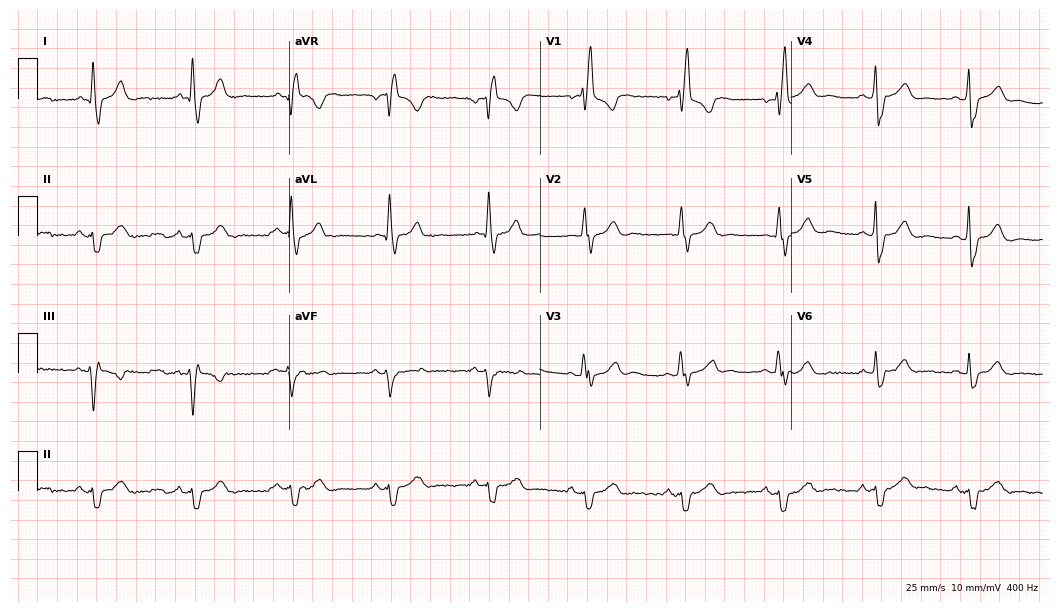
Electrocardiogram, a 69-year-old male. Of the six screened findings (first-degree AV block, right bundle branch block, left bundle branch block, sinus bradycardia, atrial fibrillation, sinus tachycardia), none is recorded.